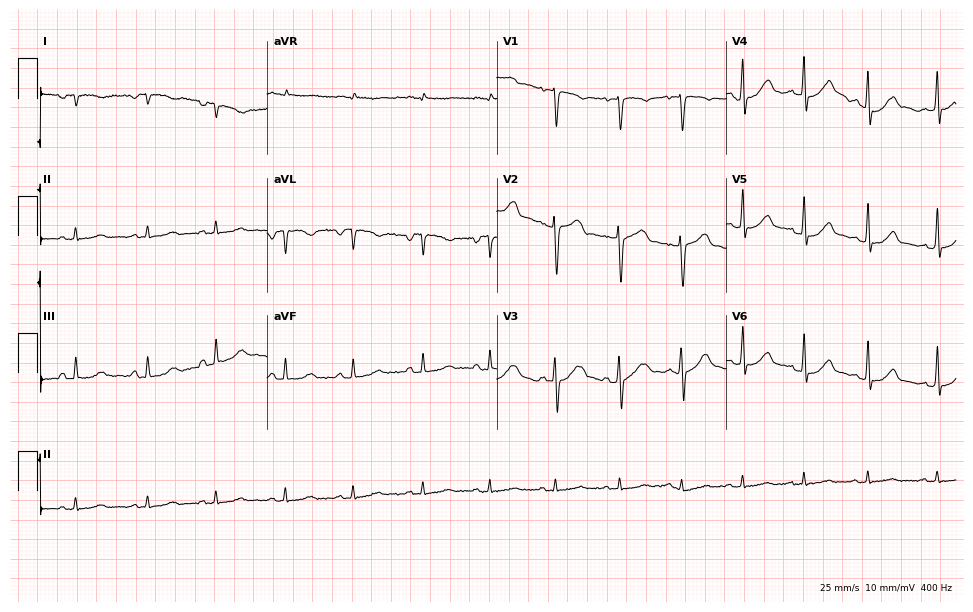
ECG — a 35-year-old woman. Screened for six findings — first-degree AV block, right bundle branch block (RBBB), left bundle branch block (LBBB), sinus bradycardia, atrial fibrillation (AF), sinus tachycardia — none is recorded.